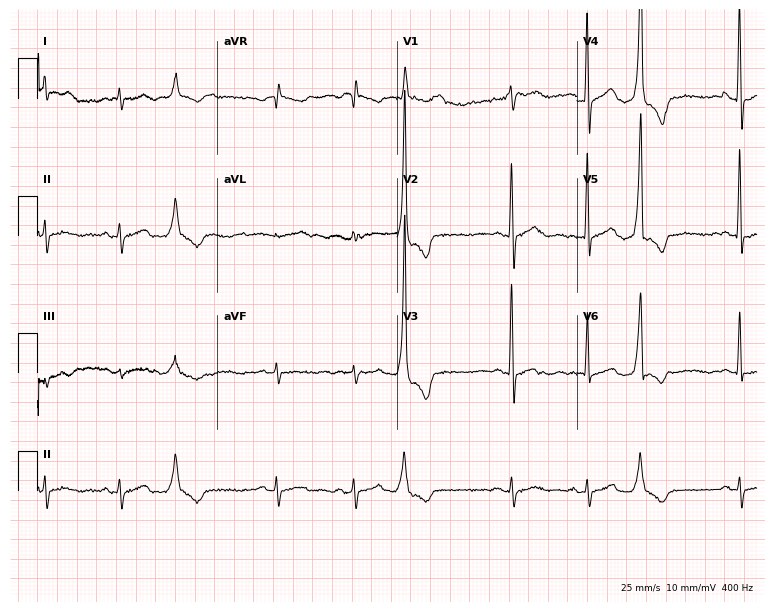
ECG (7.3-second recording at 400 Hz) — a male, 49 years old. Screened for six findings — first-degree AV block, right bundle branch block, left bundle branch block, sinus bradycardia, atrial fibrillation, sinus tachycardia — none is recorded. Only these six findings were labelled.